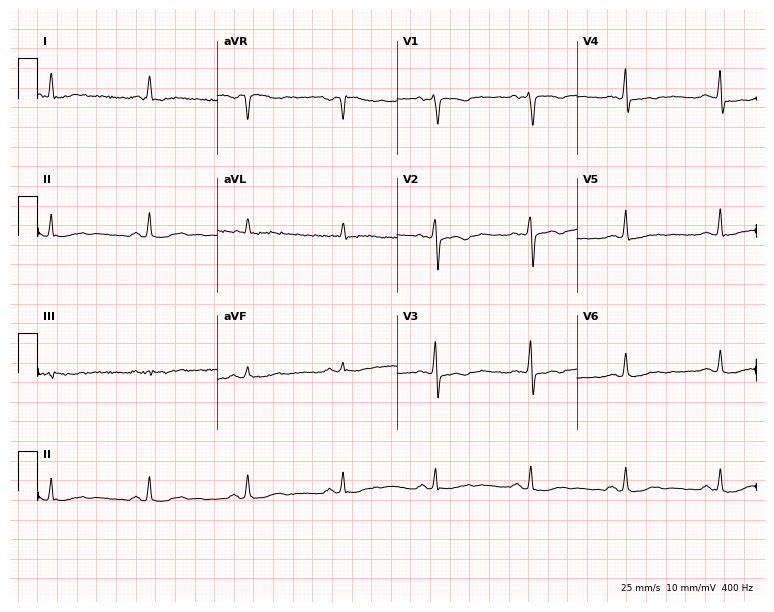
Electrocardiogram (7.3-second recording at 400 Hz), a 69-year-old male. Of the six screened findings (first-degree AV block, right bundle branch block, left bundle branch block, sinus bradycardia, atrial fibrillation, sinus tachycardia), none is recorded. Findings outside these six are not listed.